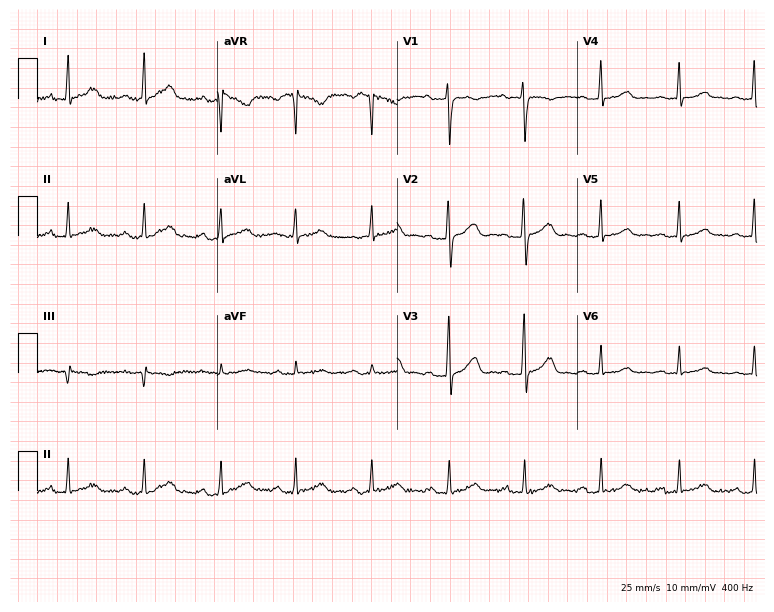
12-lead ECG (7.3-second recording at 400 Hz) from a female patient, 40 years old. Findings include first-degree AV block.